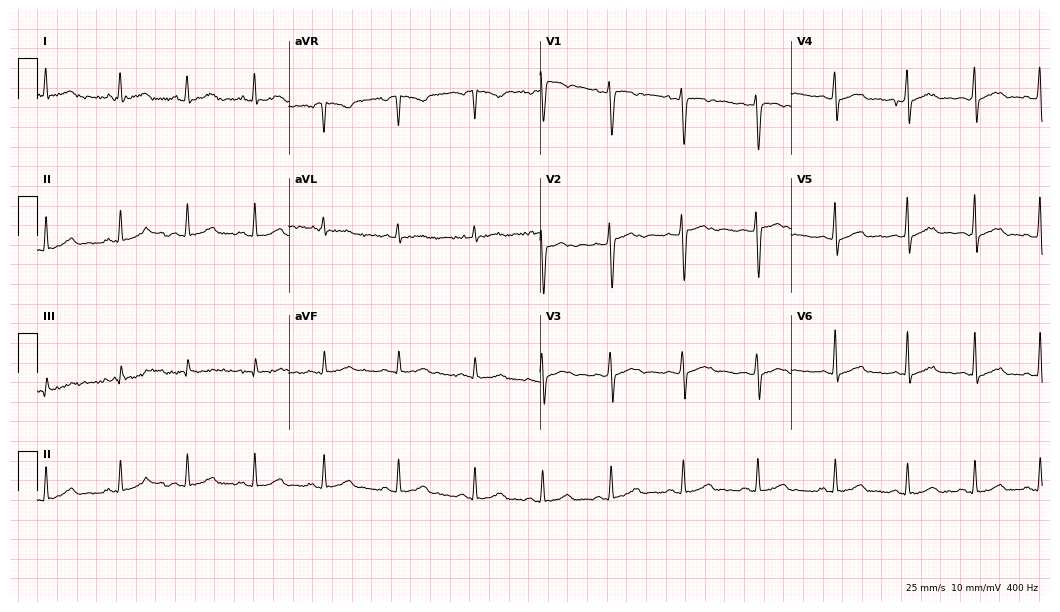
ECG — a female patient, 23 years old. Screened for six findings — first-degree AV block, right bundle branch block, left bundle branch block, sinus bradycardia, atrial fibrillation, sinus tachycardia — none is recorded. Only these six findings were labelled.